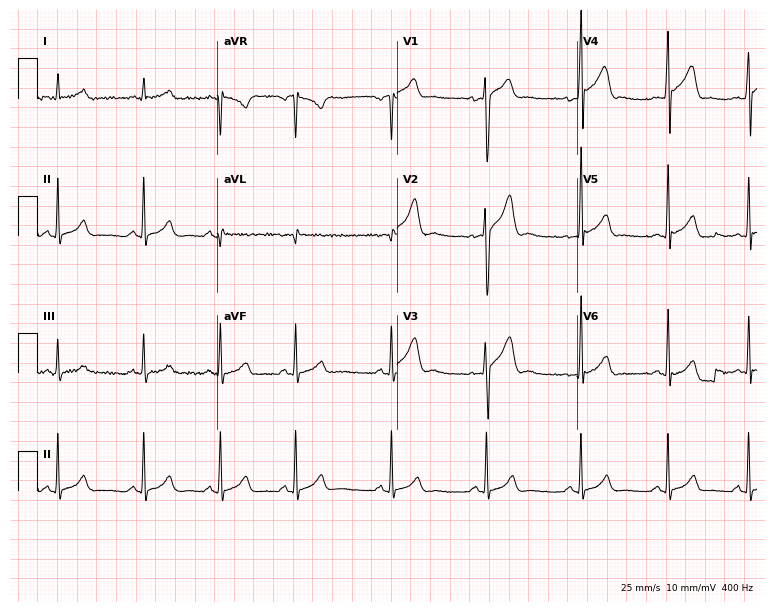
Standard 12-lead ECG recorded from a 20-year-old male patient (7.3-second recording at 400 Hz). Read as a normal ECG.